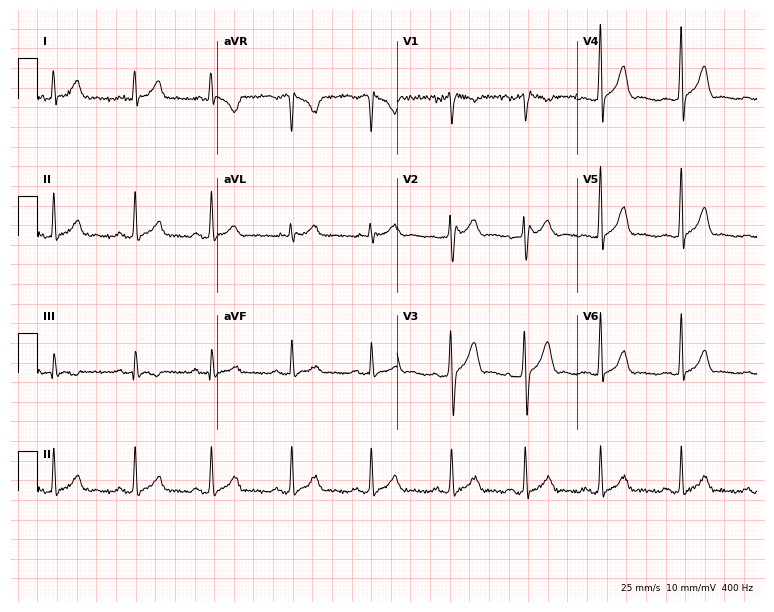
Electrocardiogram, a 46-year-old man. Overall reading on record: normal ECG.